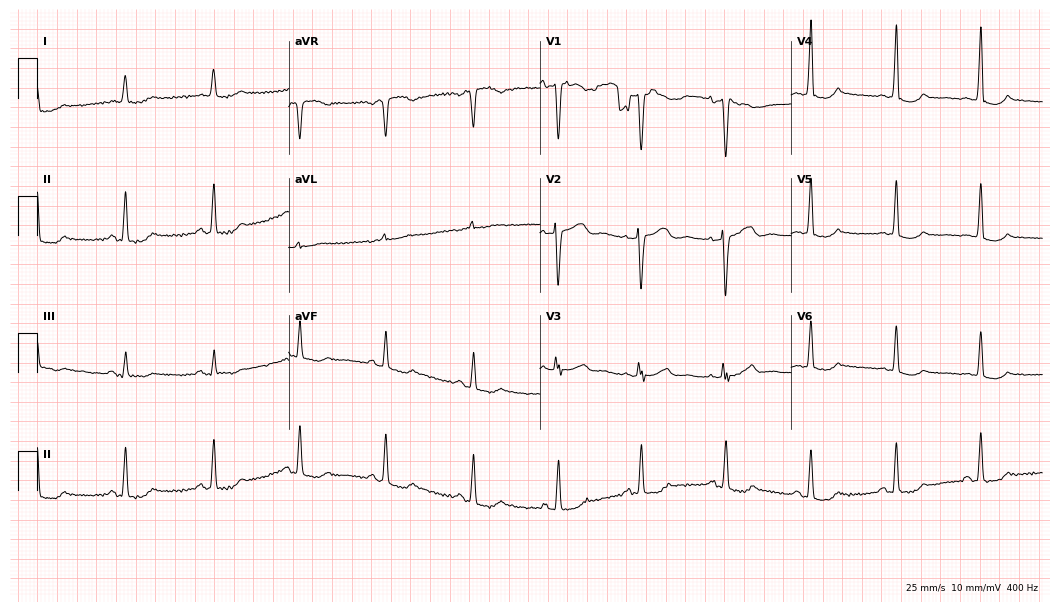
Resting 12-lead electrocardiogram. Patient: a female, 78 years old. None of these six findings is recorded: first-degree AV block, right bundle branch block, left bundle branch block, sinus bradycardia, atrial fibrillation, sinus tachycardia. Other findings, if any, are not listed.